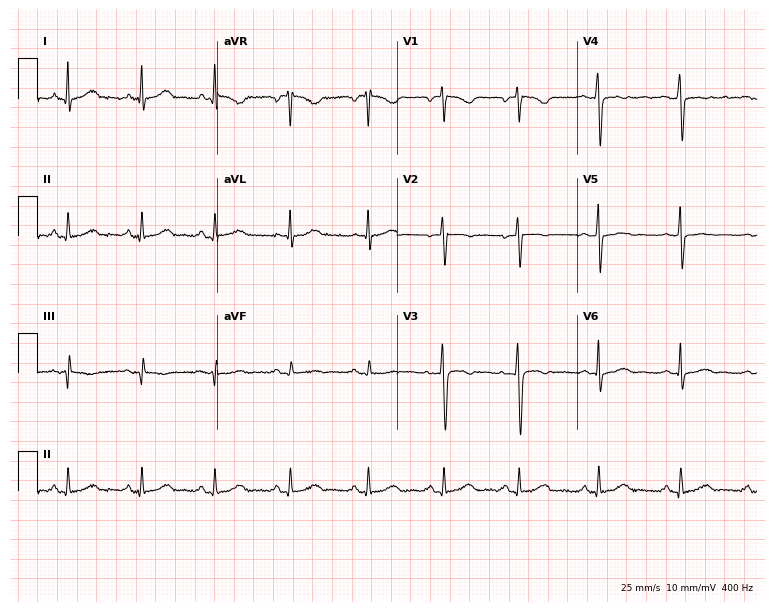
ECG — a woman, 42 years old. Labelled as a normal ECG.